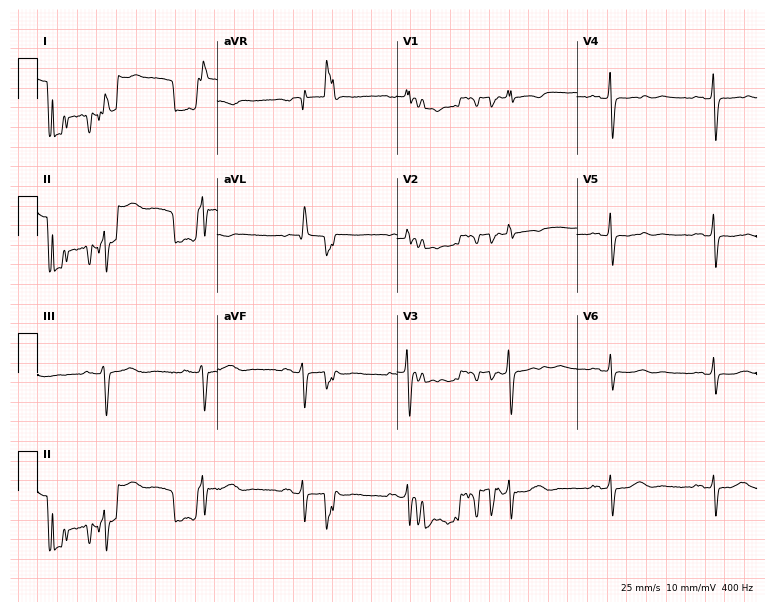
Electrocardiogram, a 69-year-old female. Of the six screened findings (first-degree AV block, right bundle branch block, left bundle branch block, sinus bradycardia, atrial fibrillation, sinus tachycardia), none is recorded. Only these six findings were labelled.